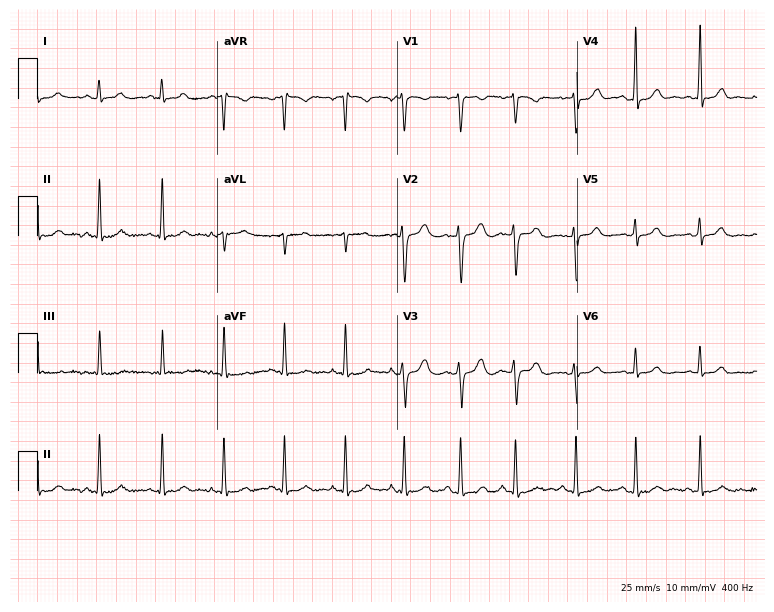
12-lead ECG from a female, 23 years old. Labelled as a normal ECG.